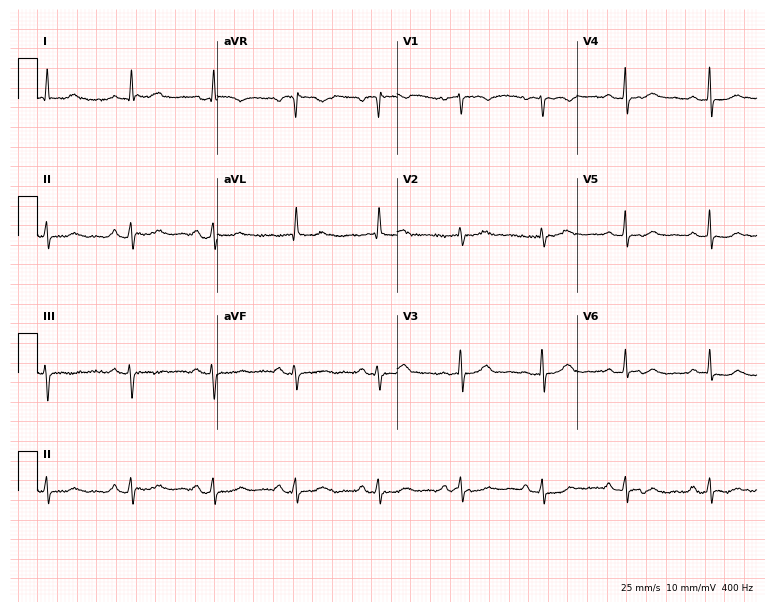
Resting 12-lead electrocardiogram (7.3-second recording at 400 Hz). Patient: a woman, 72 years old. Read as a normal ECG.